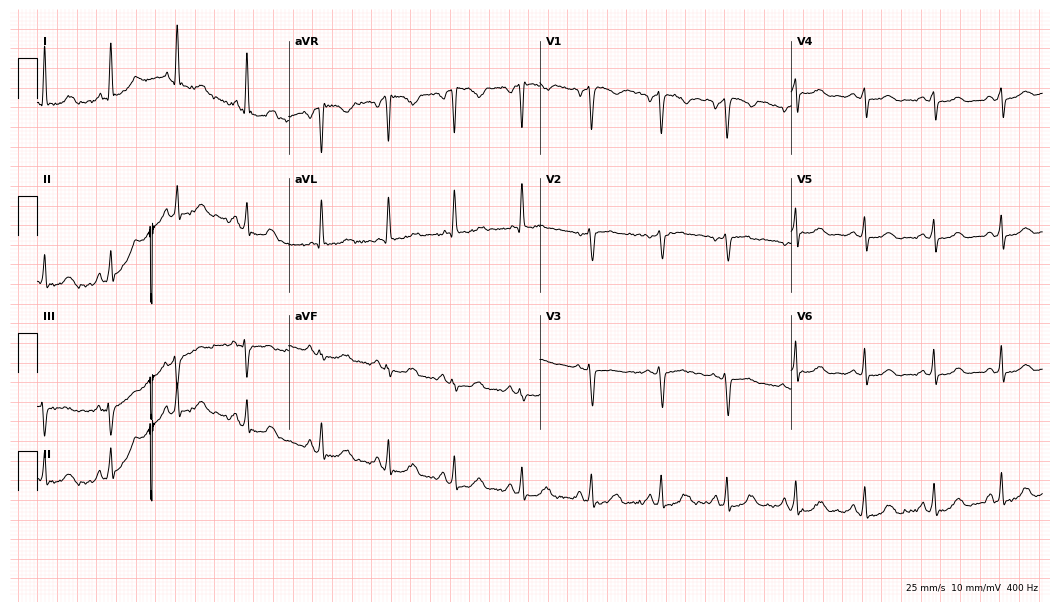
12-lead ECG from a male, 49 years old. Labelled as a normal ECG.